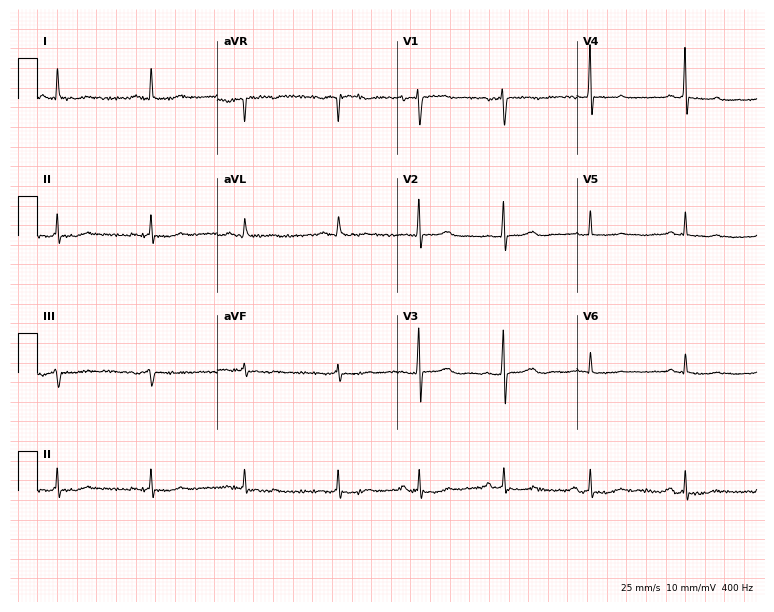
Standard 12-lead ECG recorded from a 61-year-old female patient. None of these six findings is recorded: first-degree AV block, right bundle branch block (RBBB), left bundle branch block (LBBB), sinus bradycardia, atrial fibrillation (AF), sinus tachycardia.